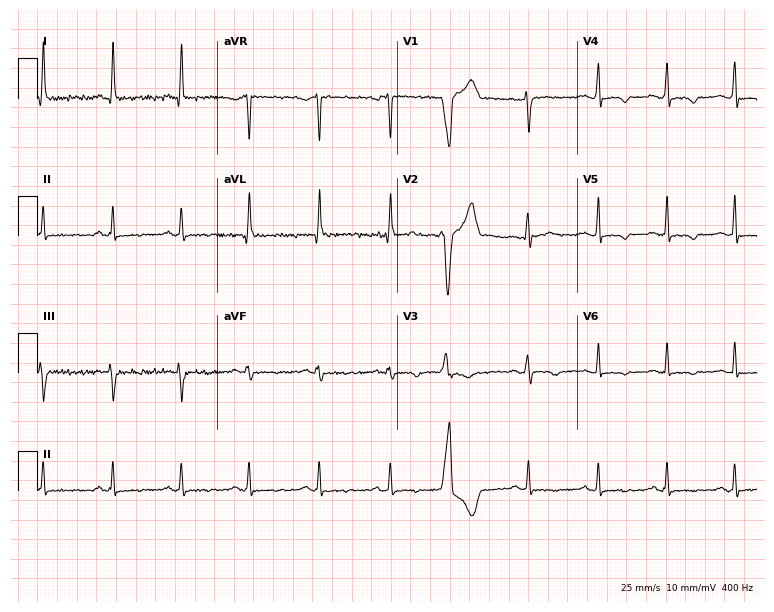
Standard 12-lead ECG recorded from a 39-year-old female (7.3-second recording at 400 Hz). None of these six findings is recorded: first-degree AV block, right bundle branch block, left bundle branch block, sinus bradycardia, atrial fibrillation, sinus tachycardia. Only these six findings were labelled.